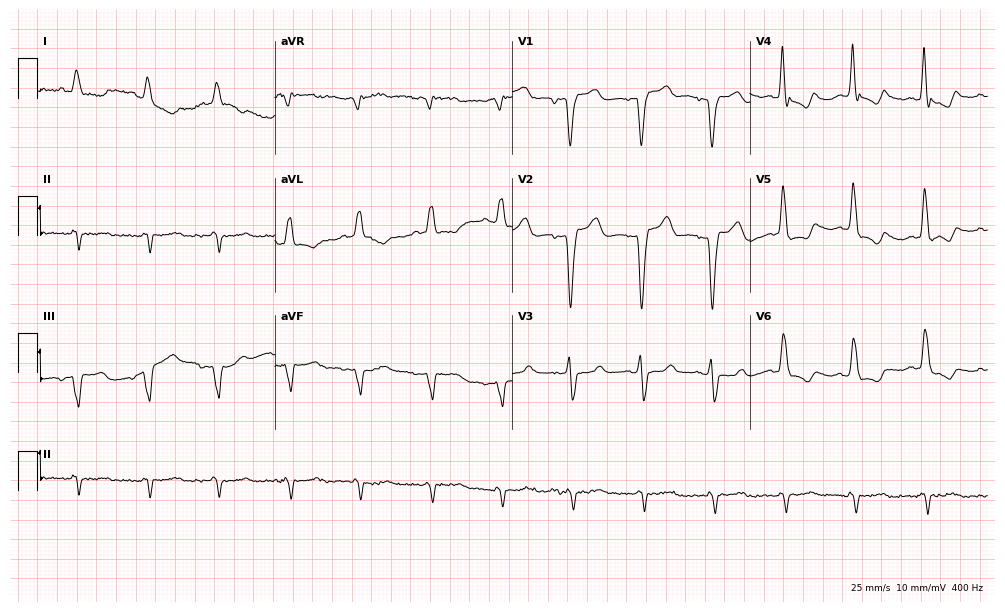
ECG — a female patient, 80 years old. Findings include left bundle branch block.